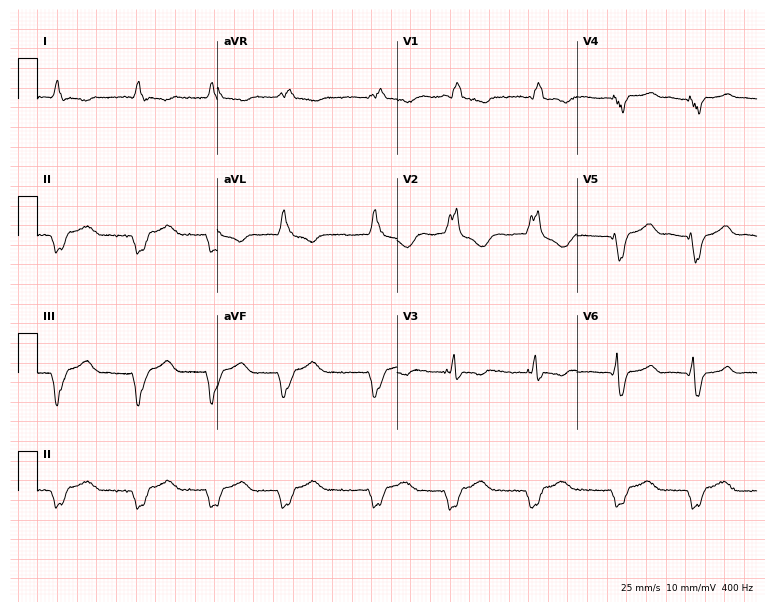
12-lead ECG (7.3-second recording at 400 Hz) from a 58-year-old female. Findings include right bundle branch block.